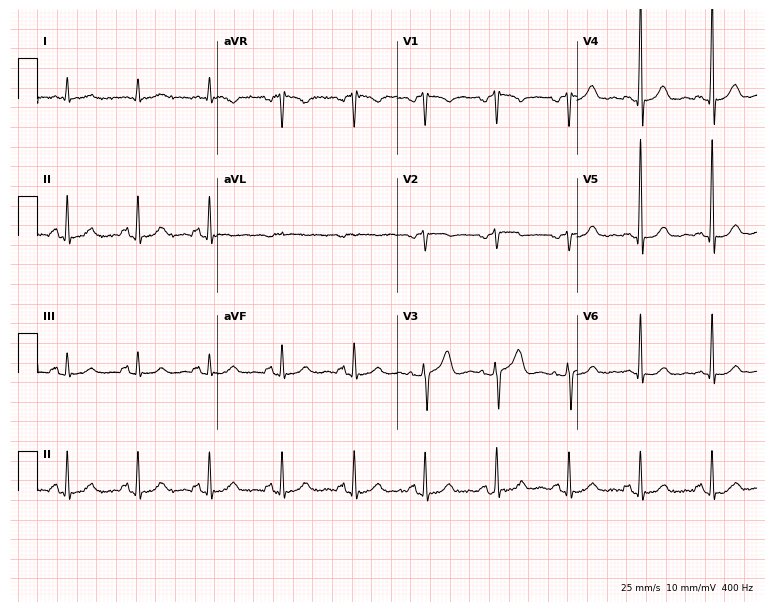
12-lead ECG (7.3-second recording at 400 Hz) from a male, 61 years old. Labelled as a normal ECG.